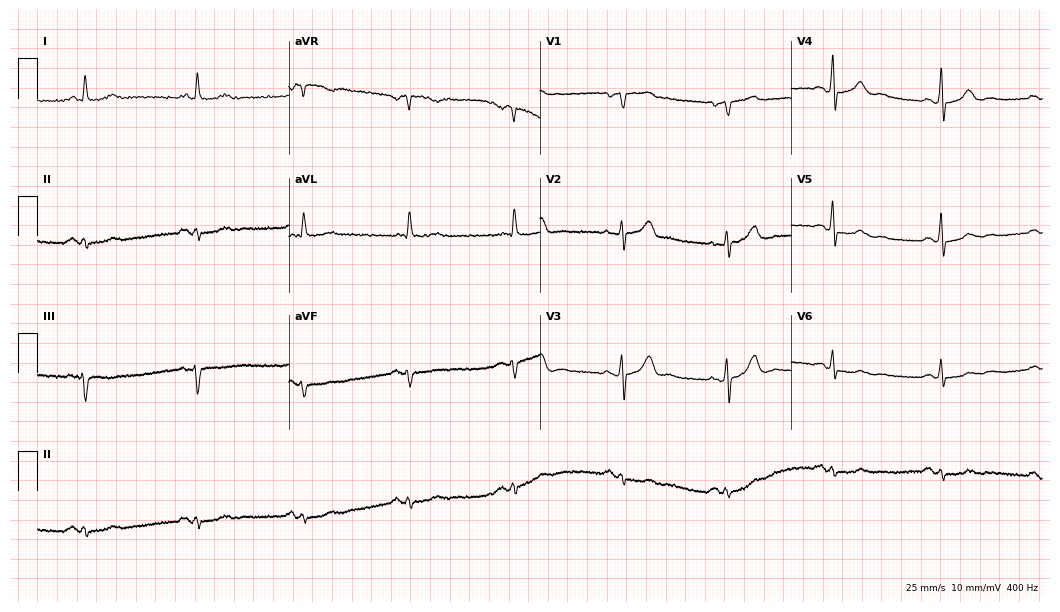
ECG — a 64-year-old male. Labelled as a normal ECG.